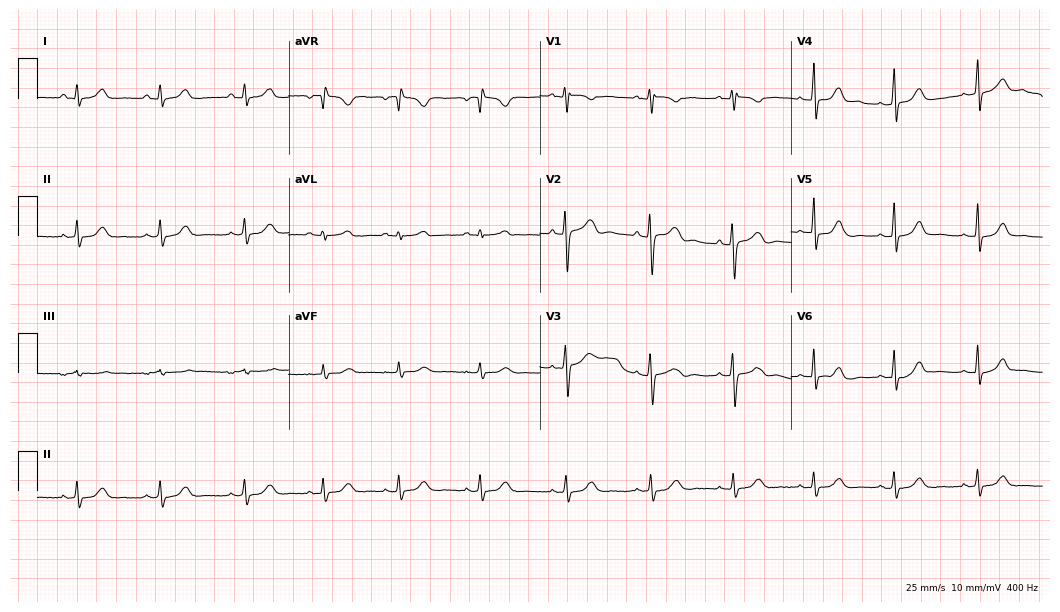
Resting 12-lead electrocardiogram (10.2-second recording at 400 Hz). Patient: a woman, 34 years old. None of these six findings is recorded: first-degree AV block, right bundle branch block, left bundle branch block, sinus bradycardia, atrial fibrillation, sinus tachycardia.